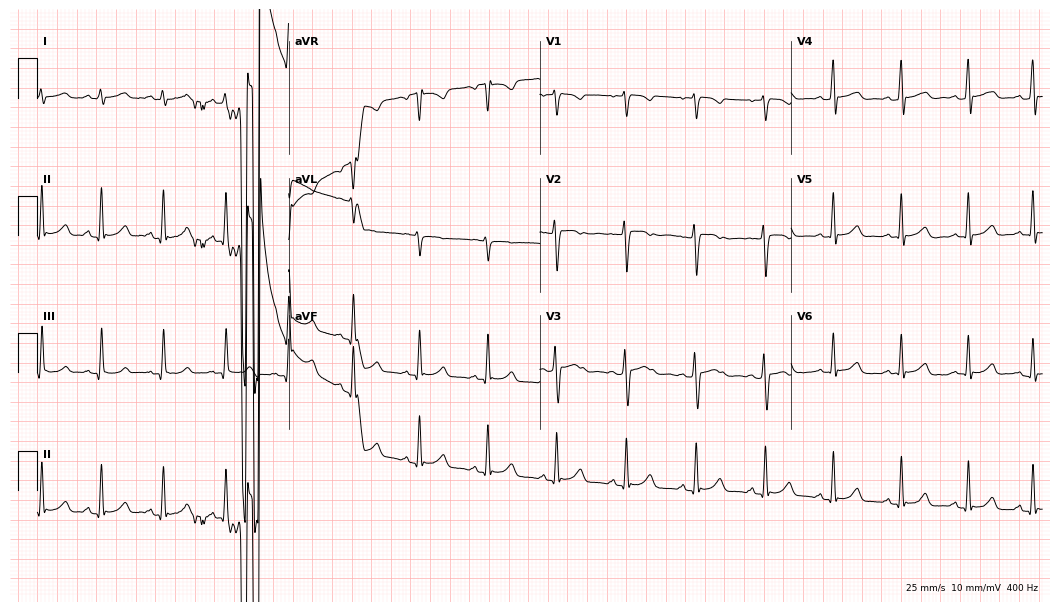
12-lead ECG from a 27-year-old female patient. No first-degree AV block, right bundle branch block, left bundle branch block, sinus bradycardia, atrial fibrillation or sinus tachycardia recorded for this tracing. Other findings, if any, are not listed.